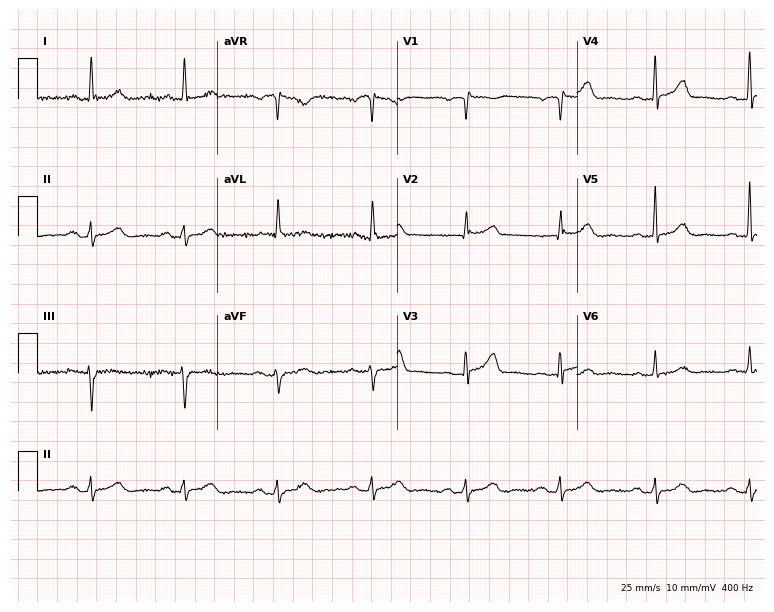
Resting 12-lead electrocardiogram (7.3-second recording at 400 Hz). Patient: a woman, 77 years old. None of these six findings is recorded: first-degree AV block, right bundle branch block (RBBB), left bundle branch block (LBBB), sinus bradycardia, atrial fibrillation (AF), sinus tachycardia. Other findings, if any, are not listed.